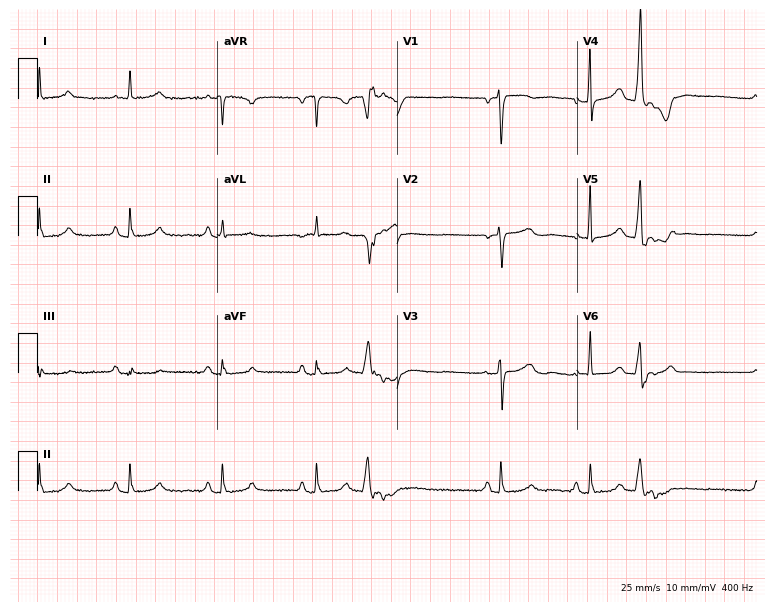
12-lead ECG from a 60-year-old female. No first-degree AV block, right bundle branch block, left bundle branch block, sinus bradycardia, atrial fibrillation or sinus tachycardia recorded for this tracing.